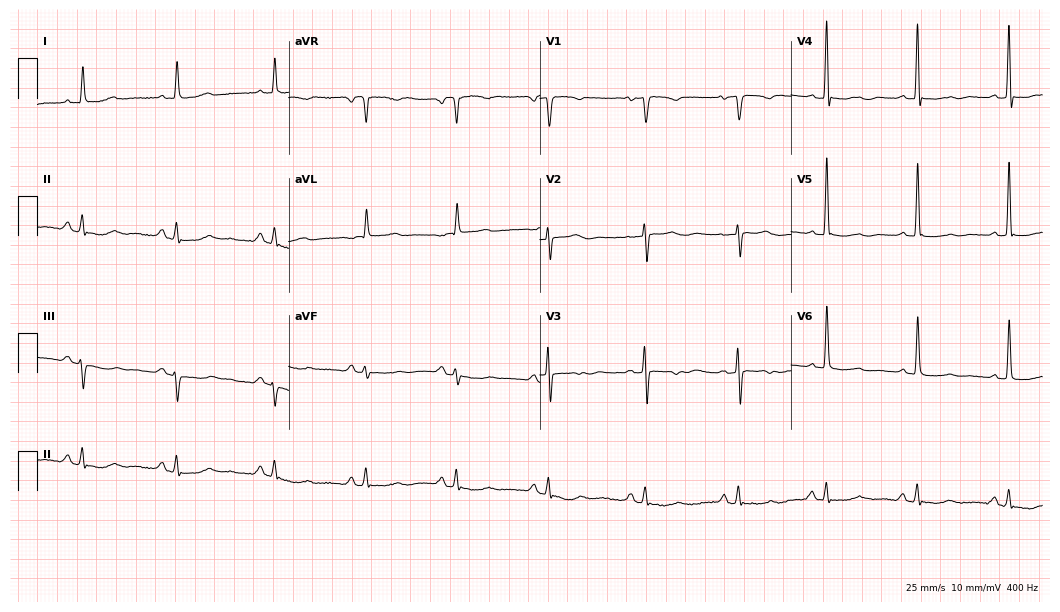
12-lead ECG from a female patient, 84 years old (10.2-second recording at 400 Hz). No first-degree AV block, right bundle branch block, left bundle branch block, sinus bradycardia, atrial fibrillation or sinus tachycardia recorded for this tracing.